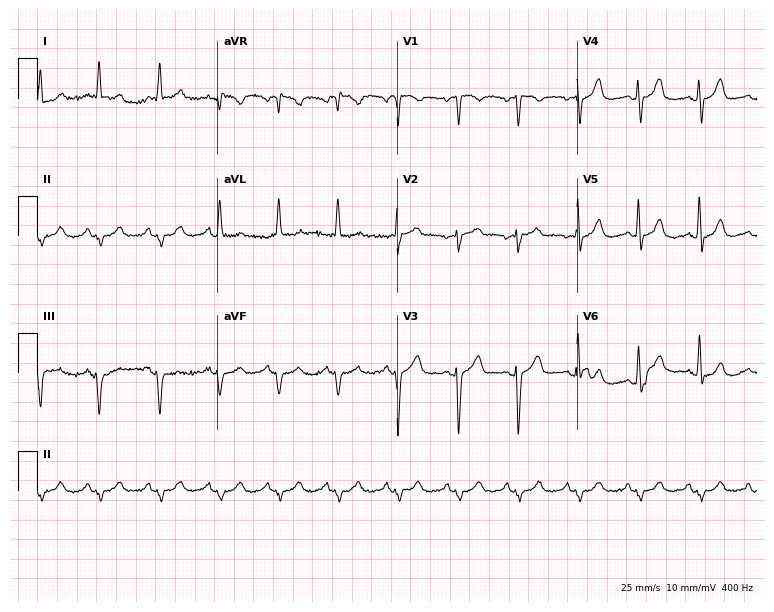
12-lead ECG (7.3-second recording at 400 Hz) from a 71-year-old woman. Screened for six findings — first-degree AV block, right bundle branch block, left bundle branch block, sinus bradycardia, atrial fibrillation, sinus tachycardia — none is recorded. Findings outside these six are not listed.